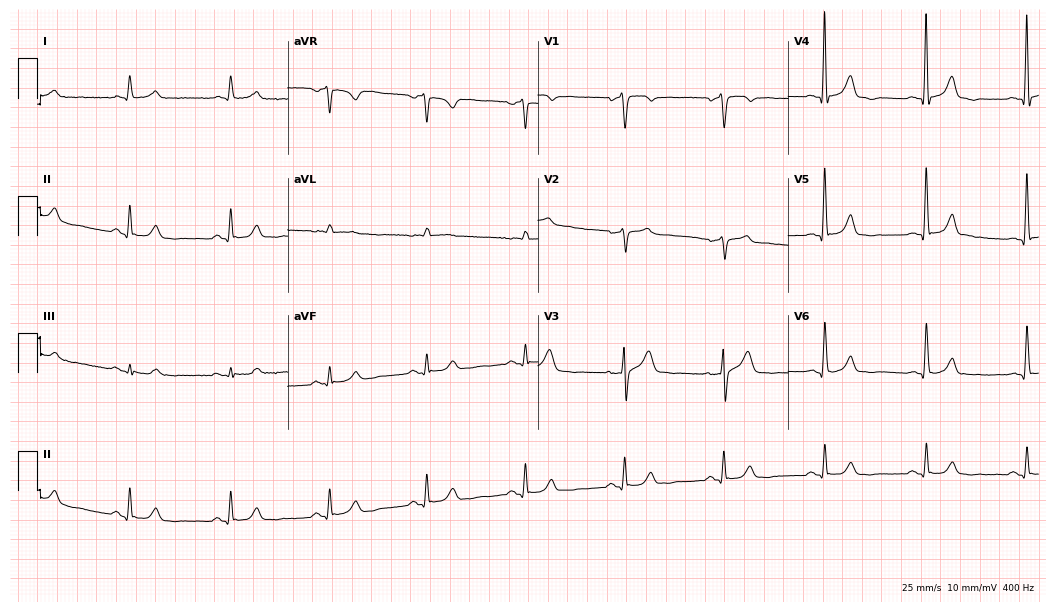
Standard 12-lead ECG recorded from a 66-year-old male. None of these six findings is recorded: first-degree AV block, right bundle branch block, left bundle branch block, sinus bradycardia, atrial fibrillation, sinus tachycardia.